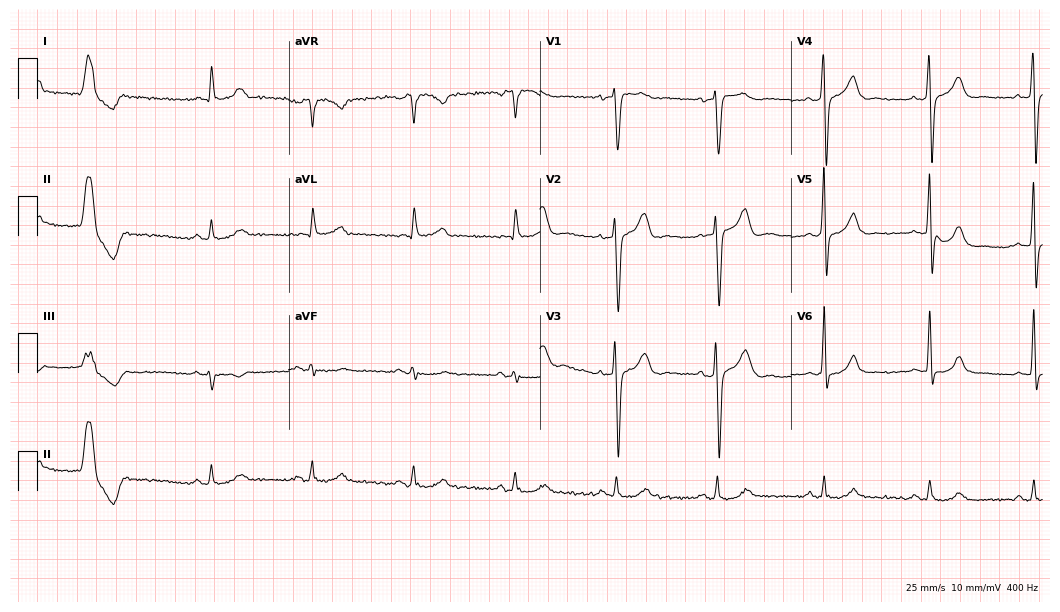
Standard 12-lead ECG recorded from a male, 56 years old. None of these six findings is recorded: first-degree AV block, right bundle branch block, left bundle branch block, sinus bradycardia, atrial fibrillation, sinus tachycardia.